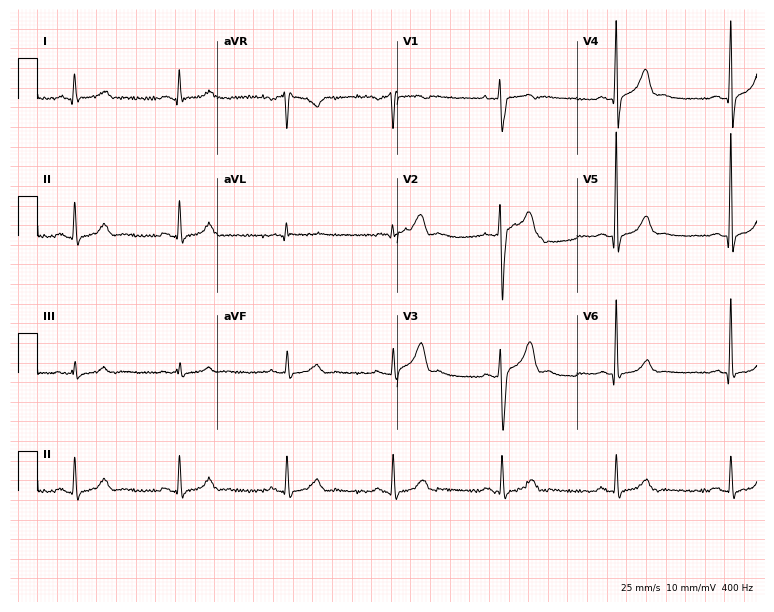
12-lead ECG from a 57-year-old male. No first-degree AV block, right bundle branch block, left bundle branch block, sinus bradycardia, atrial fibrillation or sinus tachycardia recorded for this tracing. Only these six findings were labelled.